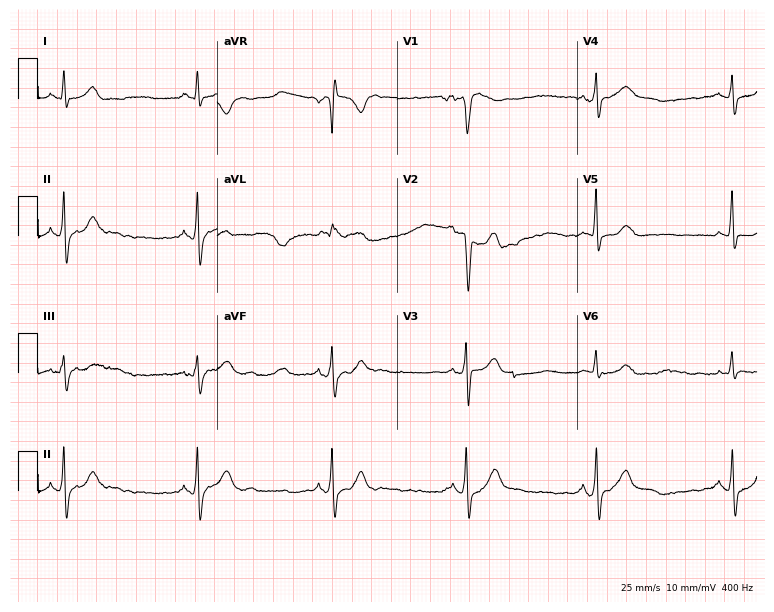
12-lead ECG (7.3-second recording at 400 Hz) from a man, 63 years old. Findings include sinus bradycardia (a sinus rate of 50 beats per minute or less).